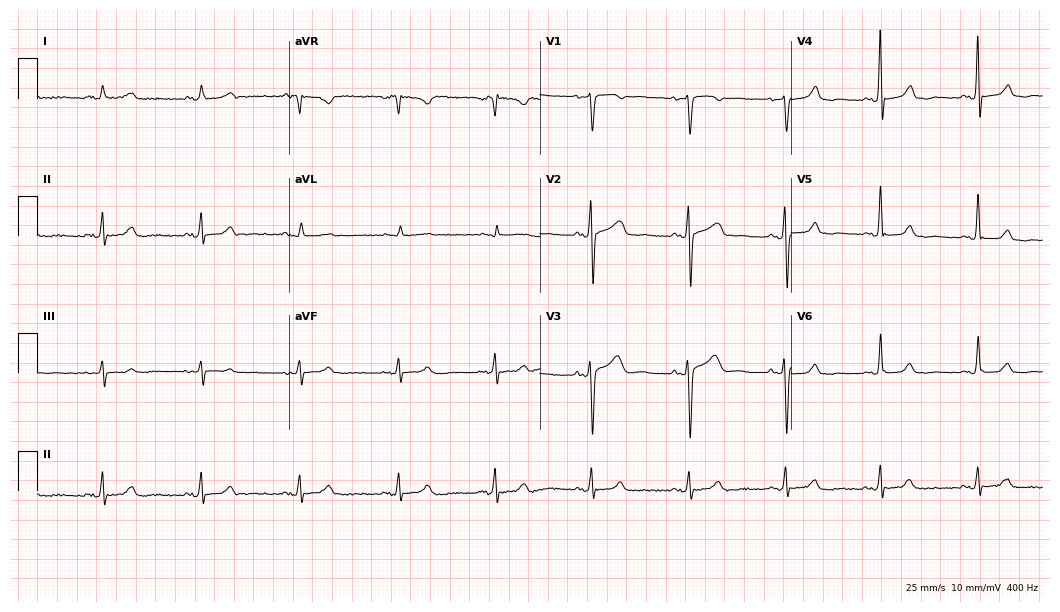
12-lead ECG from a 64-year-old woman. Recorded interpretation: within normal limits.